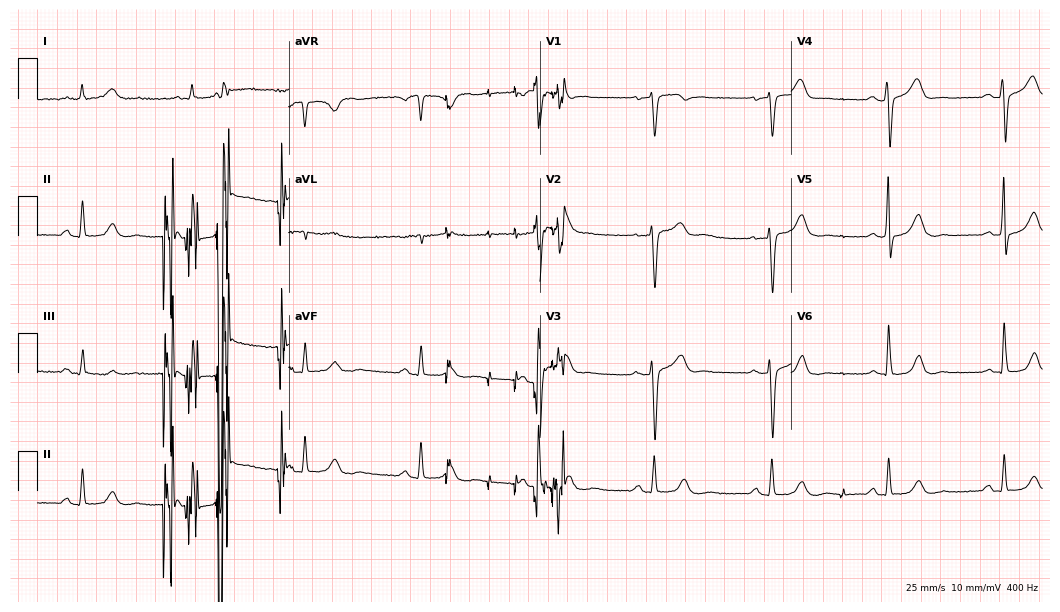
12-lead ECG (10.2-second recording at 400 Hz) from a 57-year-old female patient. Labelled as a normal ECG.